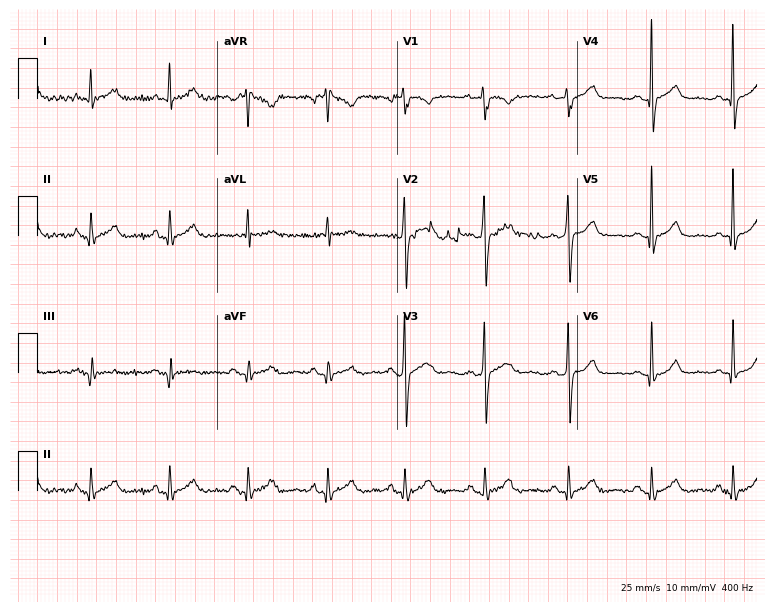
Electrocardiogram, a 39-year-old male patient. Of the six screened findings (first-degree AV block, right bundle branch block, left bundle branch block, sinus bradycardia, atrial fibrillation, sinus tachycardia), none is recorded.